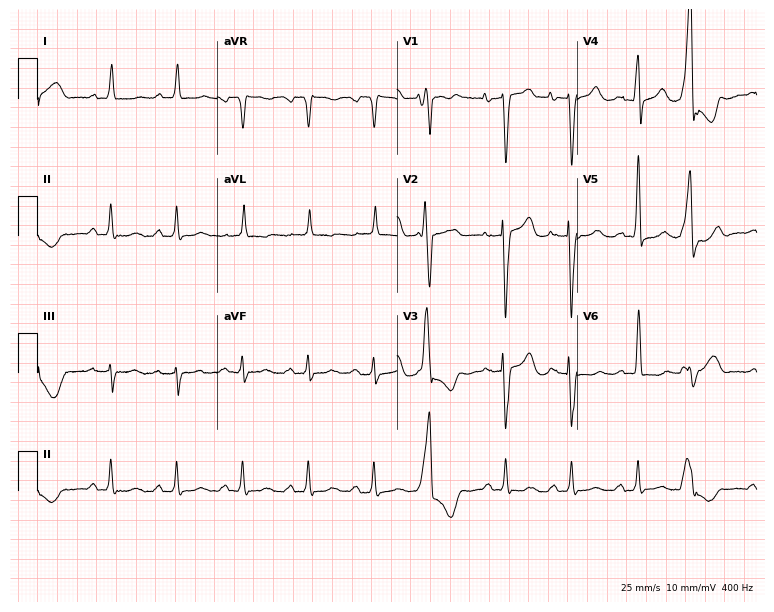
ECG (7.3-second recording at 400 Hz) — a male, 75 years old. Screened for six findings — first-degree AV block, right bundle branch block, left bundle branch block, sinus bradycardia, atrial fibrillation, sinus tachycardia — none is recorded.